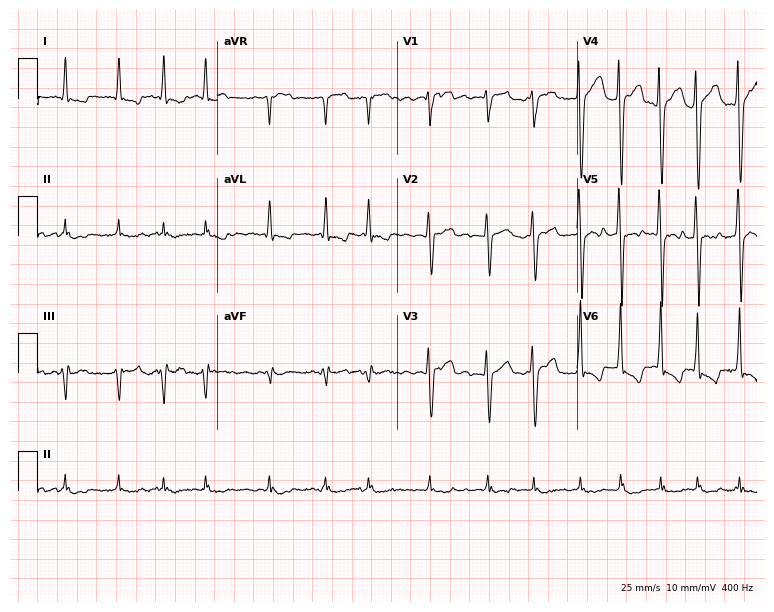
12-lead ECG (7.3-second recording at 400 Hz) from a male, 73 years old. Findings include atrial fibrillation.